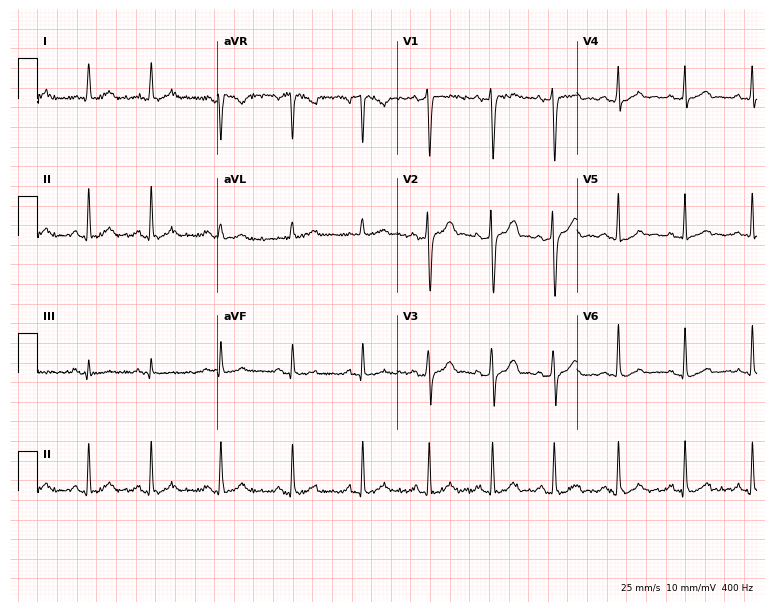
Resting 12-lead electrocardiogram (7.3-second recording at 400 Hz). Patient: a 33-year-old male. Read as a normal ECG.